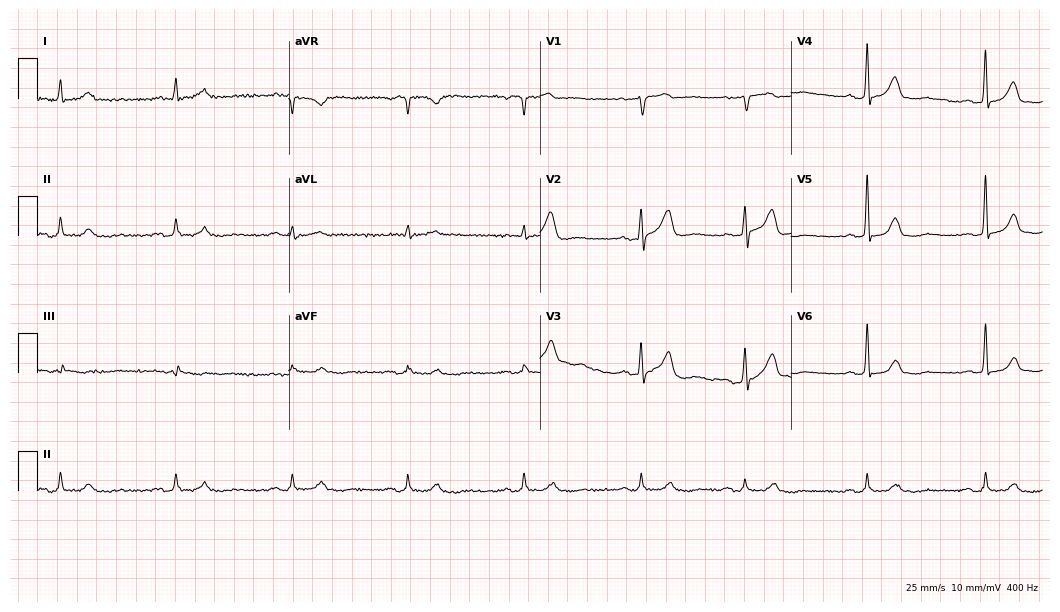
ECG — a 70-year-old man. Labelled as a normal ECG.